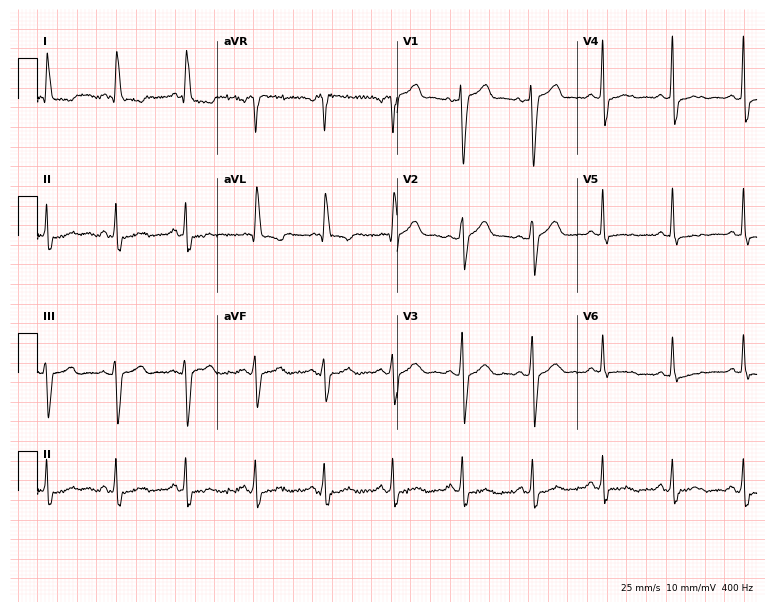
12-lead ECG from a 74-year-old male. Screened for six findings — first-degree AV block, right bundle branch block, left bundle branch block, sinus bradycardia, atrial fibrillation, sinus tachycardia — none is recorded.